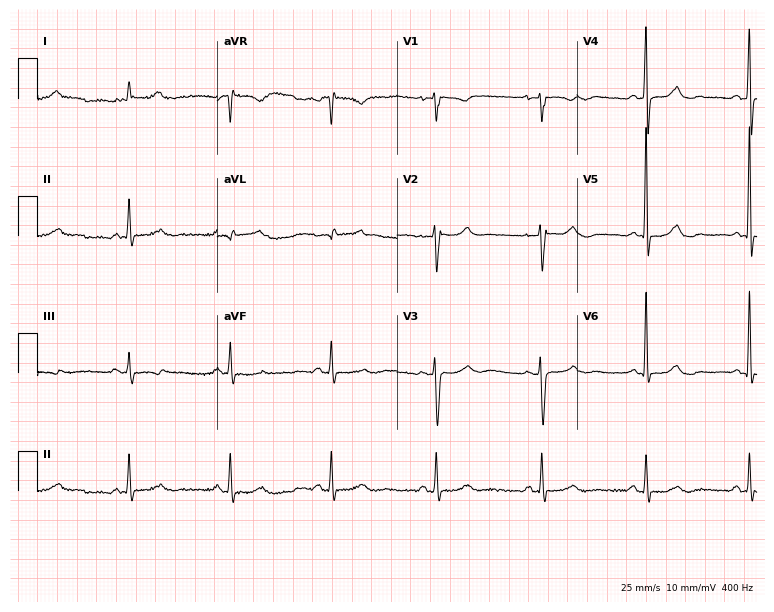
Electrocardiogram (7.3-second recording at 400 Hz), a 58-year-old female patient. Of the six screened findings (first-degree AV block, right bundle branch block, left bundle branch block, sinus bradycardia, atrial fibrillation, sinus tachycardia), none is recorded. Only these six findings were labelled.